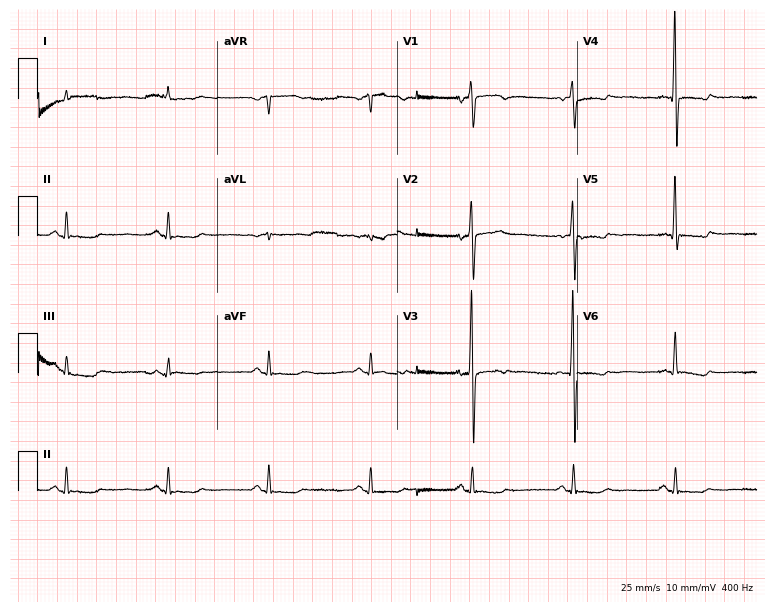
Resting 12-lead electrocardiogram. Patient: a 67-year-old man. None of these six findings is recorded: first-degree AV block, right bundle branch block, left bundle branch block, sinus bradycardia, atrial fibrillation, sinus tachycardia. Only these six findings were labelled.